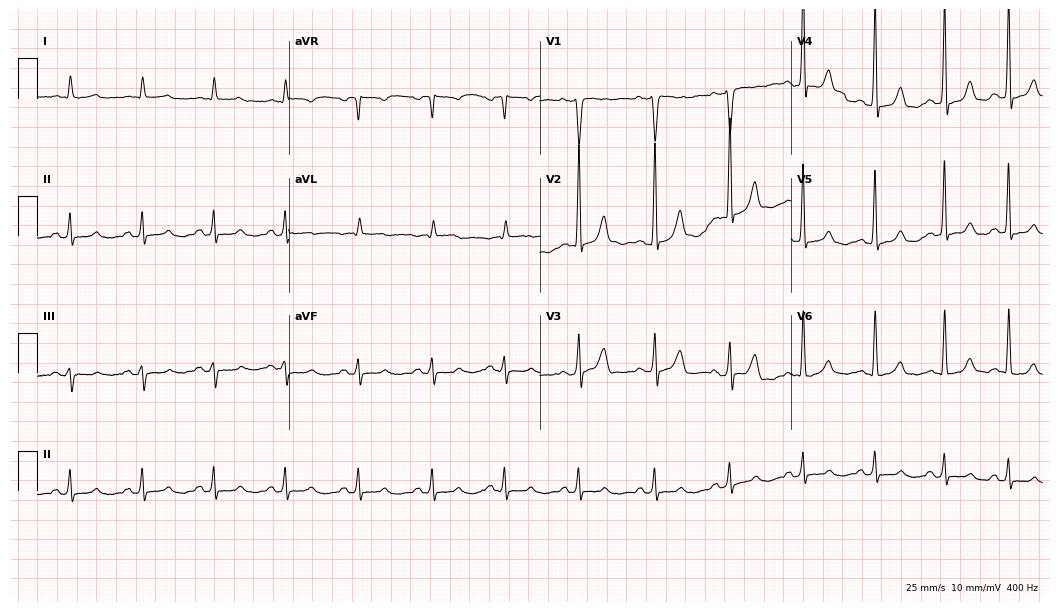
Resting 12-lead electrocardiogram (10.2-second recording at 400 Hz). Patient: a 53-year-old male. Read as a normal ECG.